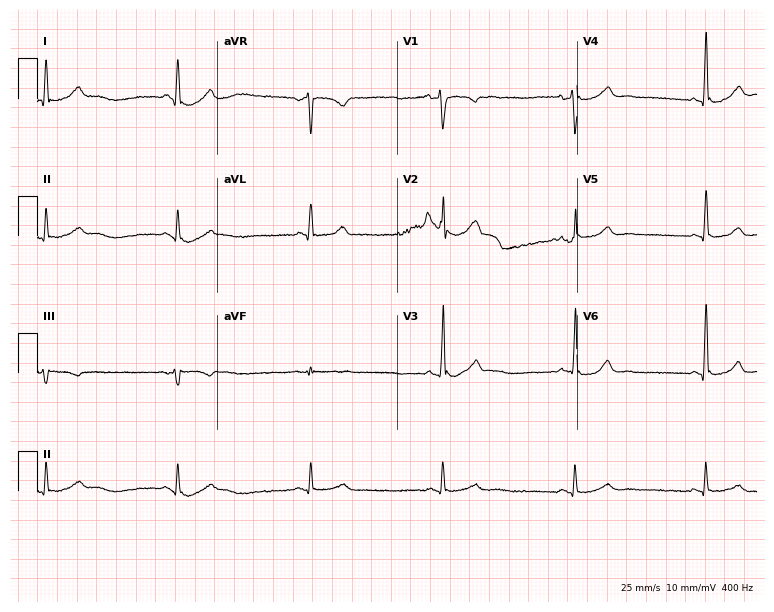
ECG (7.3-second recording at 400 Hz) — a male patient, 59 years old. Findings include sinus bradycardia (a sinus rate of 50 beats per minute or less).